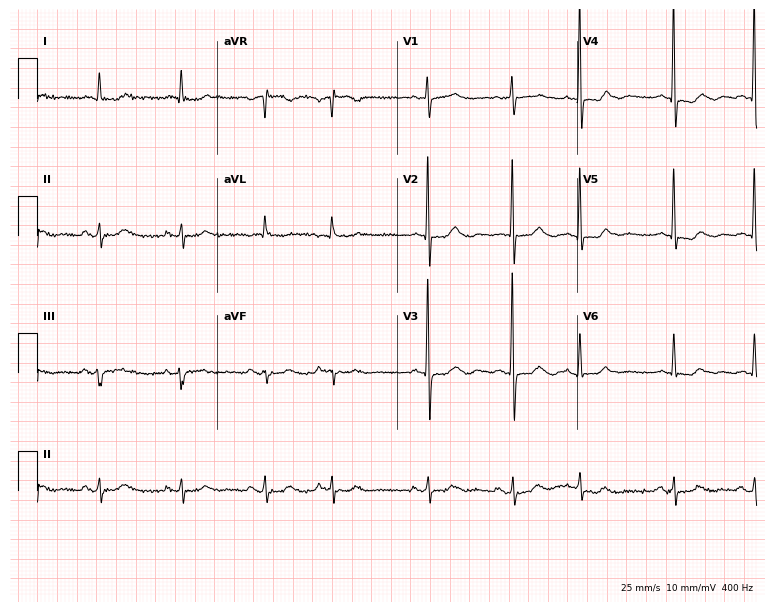
Electrocardiogram (7.3-second recording at 400 Hz), a female, 77 years old. Of the six screened findings (first-degree AV block, right bundle branch block, left bundle branch block, sinus bradycardia, atrial fibrillation, sinus tachycardia), none is recorded.